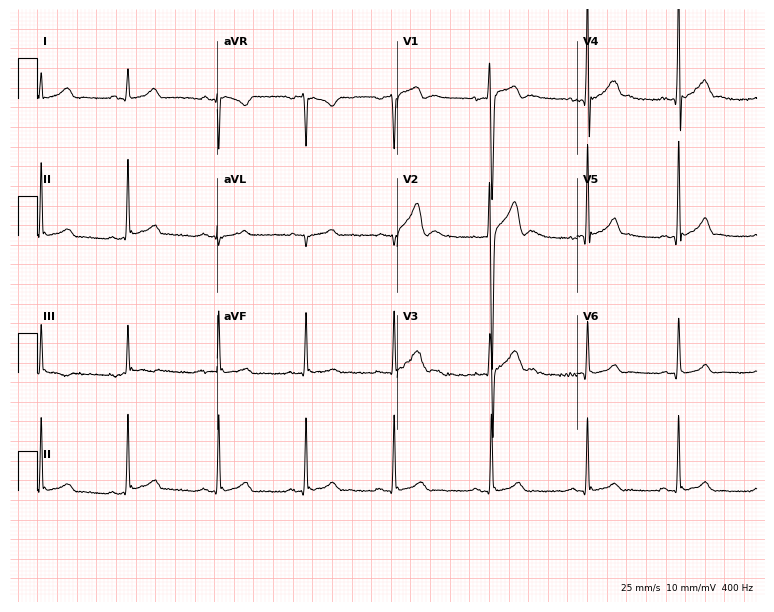
Resting 12-lead electrocardiogram. Patient: a man, 18 years old. Read as a normal ECG.